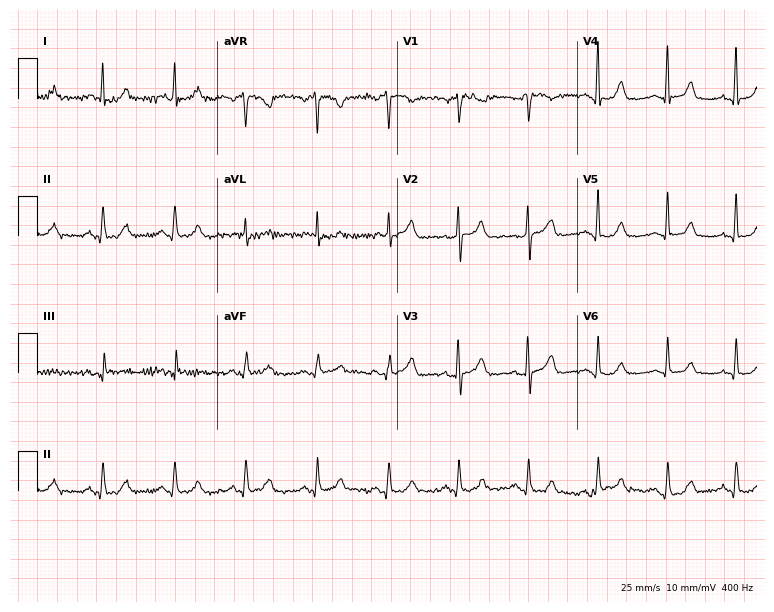
12-lead ECG (7.3-second recording at 400 Hz) from a 59-year-old female patient. Labelled as a normal ECG.